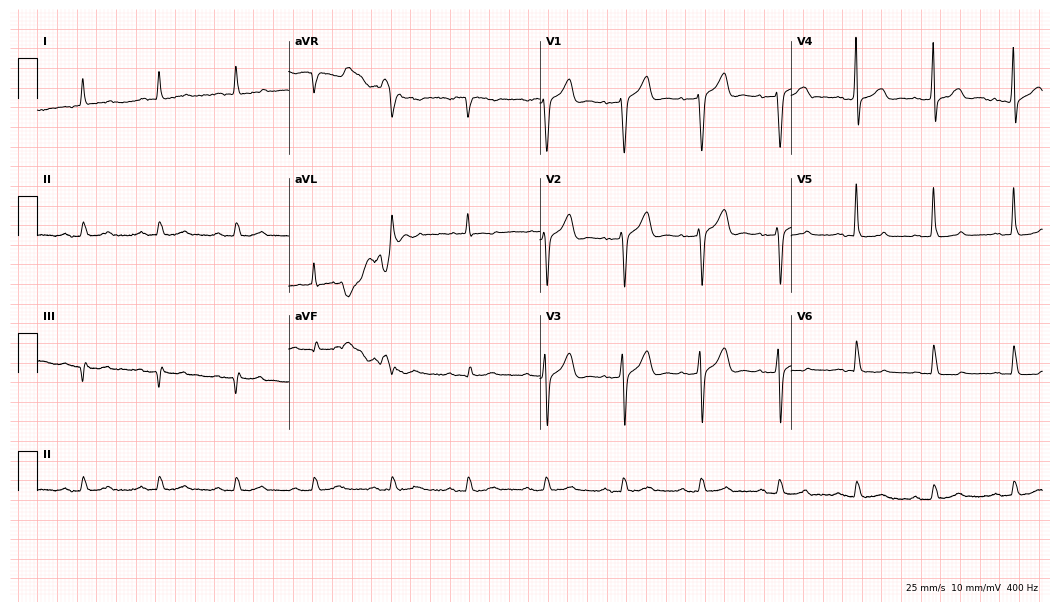
Electrocardiogram, an 82-year-old man. Overall reading on record: normal ECG.